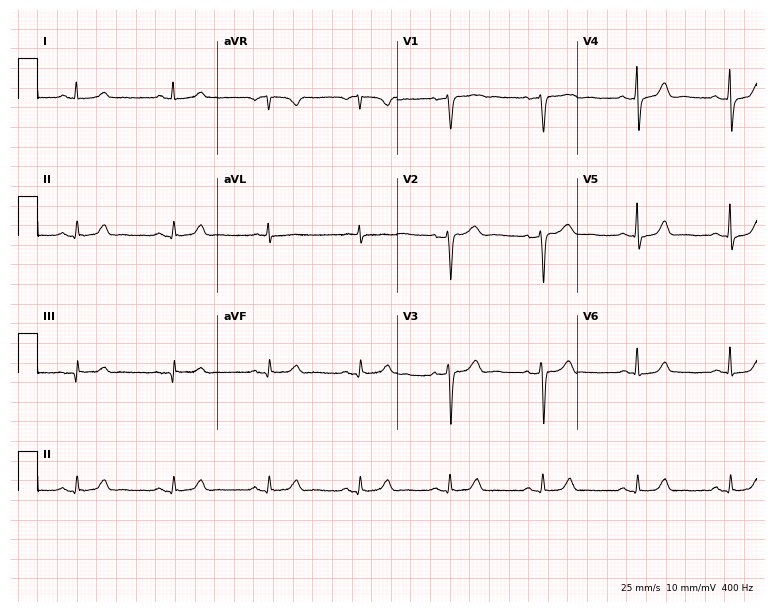
Resting 12-lead electrocardiogram. Patient: a woman, 49 years old. Read as a normal ECG.